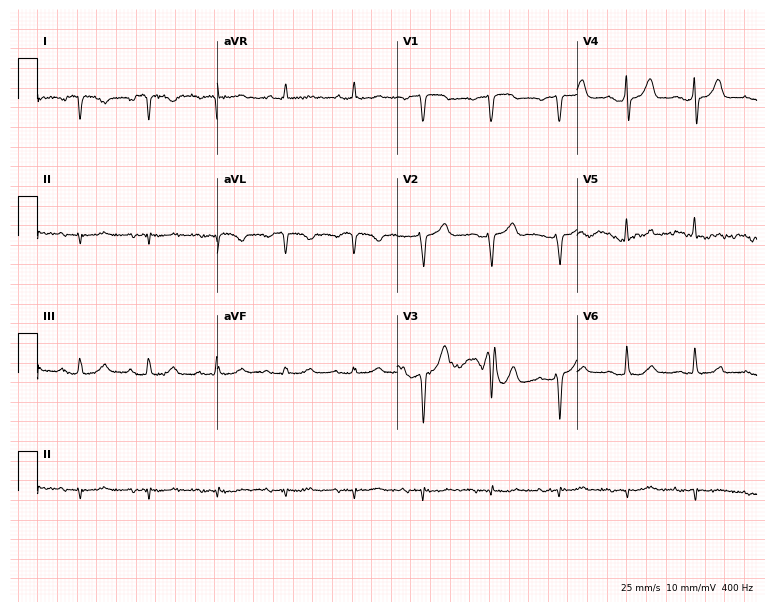
Electrocardiogram (7.3-second recording at 400 Hz), a male, 75 years old. Of the six screened findings (first-degree AV block, right bundle branch block (RBBB), left bundle branch block (LBBB), sinus bradycardia, atrial fibrillation (AF), sinus tachycardia), none is recorded. Only these six findings were labelled.